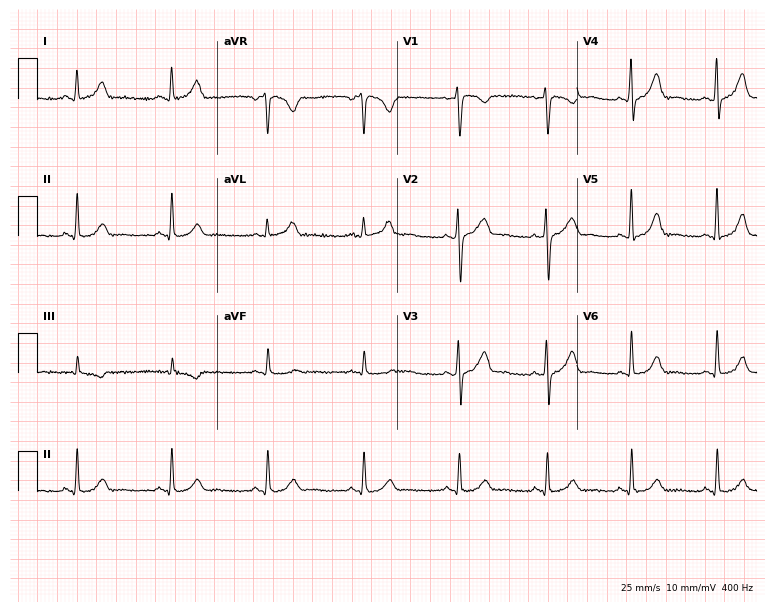
12-lead ECG from a 36-year-old female. Recorded interpretation: within normal limits.